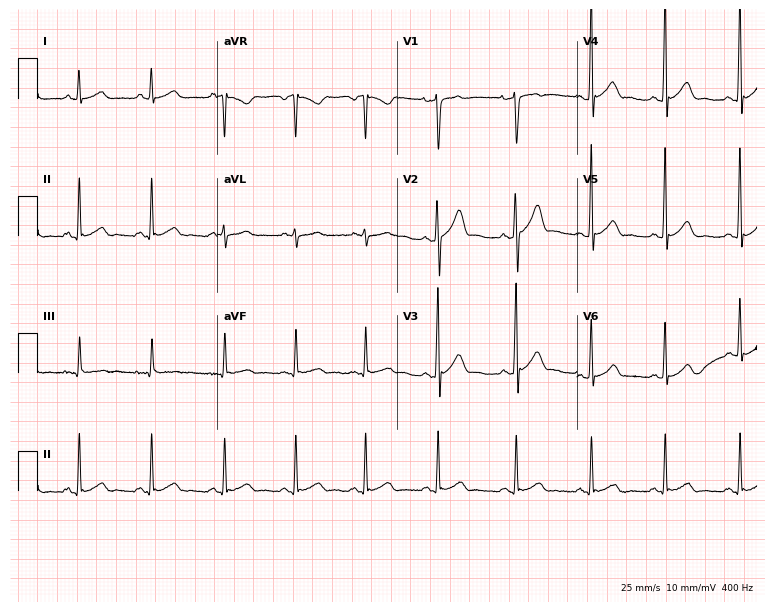
Standard 12-lead ECG recorded from a 31-year-old male patient. None of these six findings is recorded: first-degree AV block, right bundle branch block, left bundle branch block, sinus bradycardia, atrial fibrillation, sinus tachycardia. Other findings, if any, are not listed.